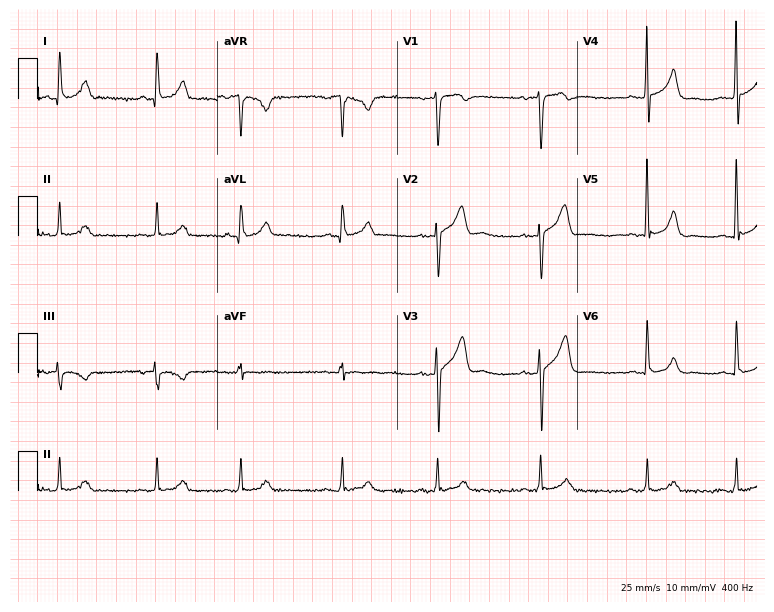
ECG (7.3-second recording at 400 Hz) — a male, 37 years old. Labelled as a normal ECG.